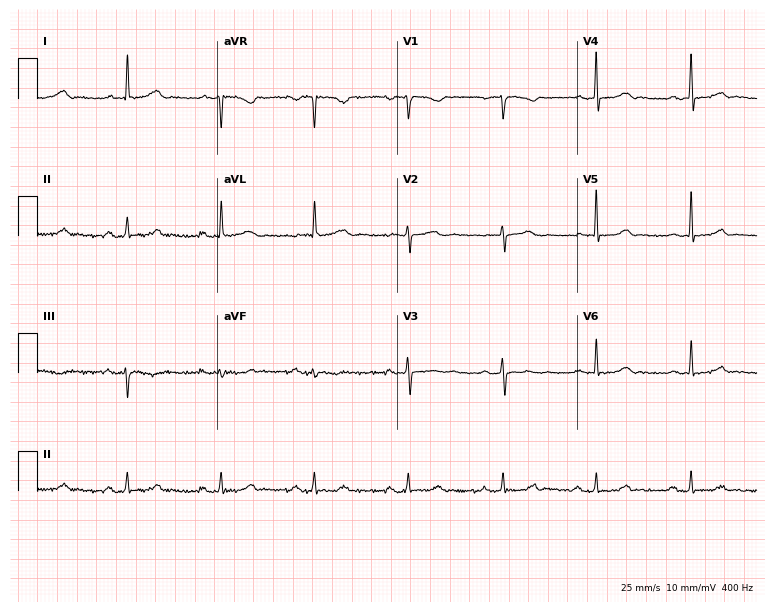
12-lead ECG from a female, 81 years old (7.3-second recording at 400 Hz). Recorded interpretation: within normal limits.